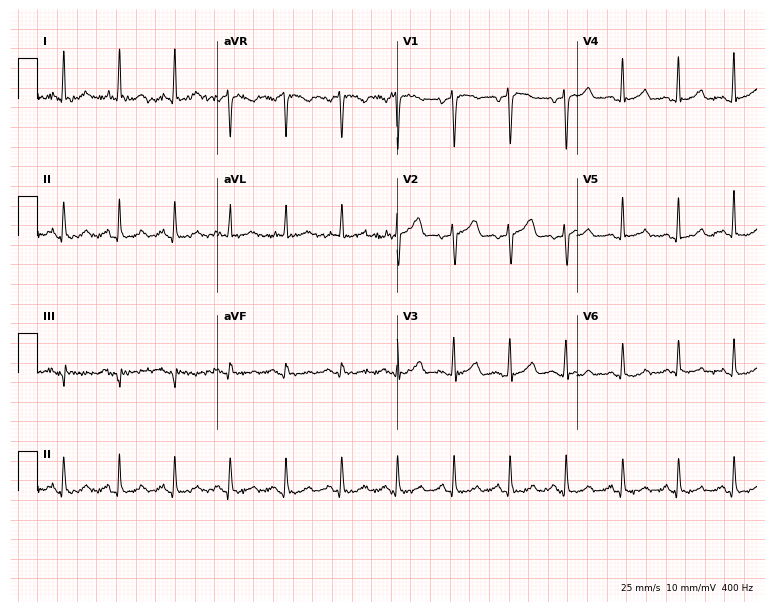
Standard 12-lead ECG recorded from a 46-year-old man. Read as a normal ECG.